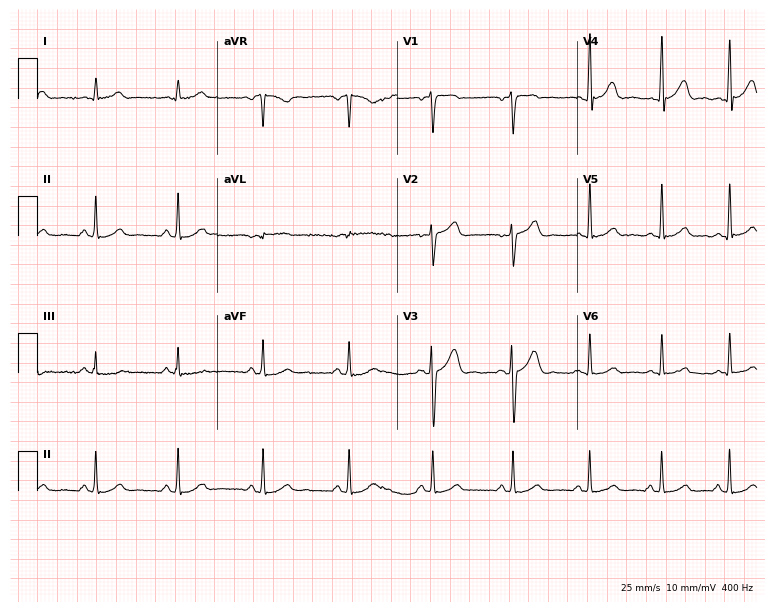
Resting 12-lead electrocardiogram. Patient: a 35-year-old male. Read as a normal ECG.